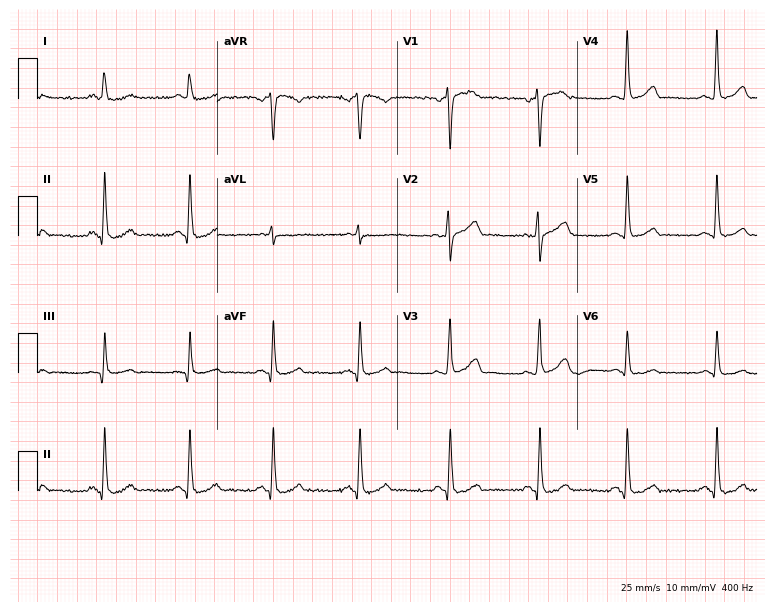
12-lead ECG (7.3-second recording at 400 Hz) from a 58-year-old man. Labelled as a normal ECG.